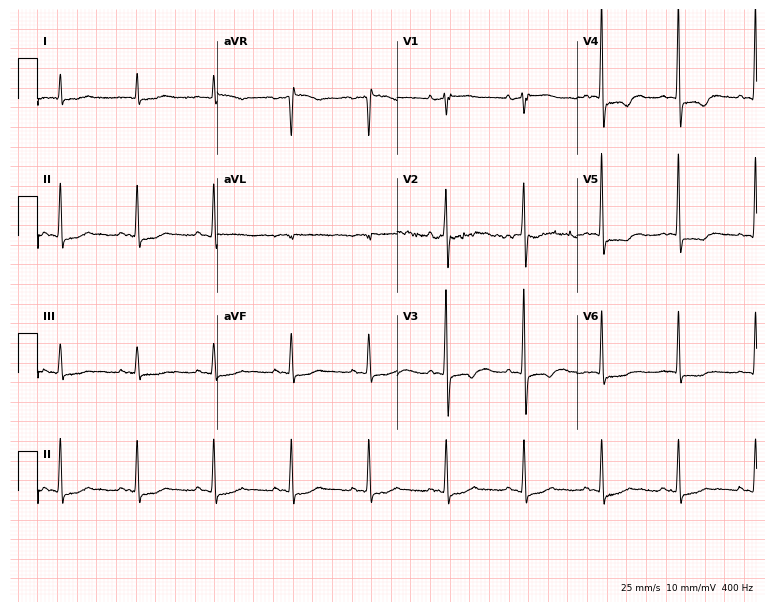
Resting 12-lead electrocardiogram. Patient: a 79-year-old male. None of these six findings is recorded: first-degree AV block, right bundle branch block, left bundle branch block, sinus bradycardia, atrial fibrillation, sinus tachycardia.